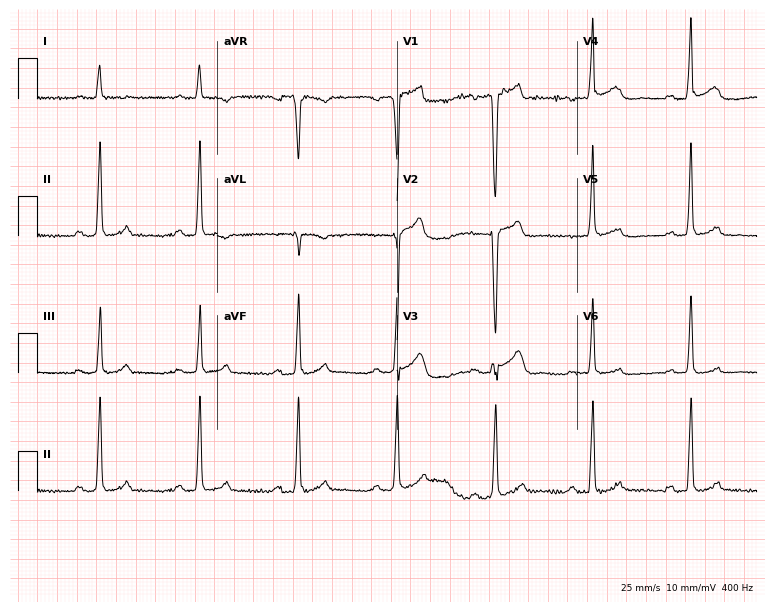
12-lead ECG from a man, 62 years old (7.3-second recording at 400 Hz). Recorded interpretation: within normal limits.